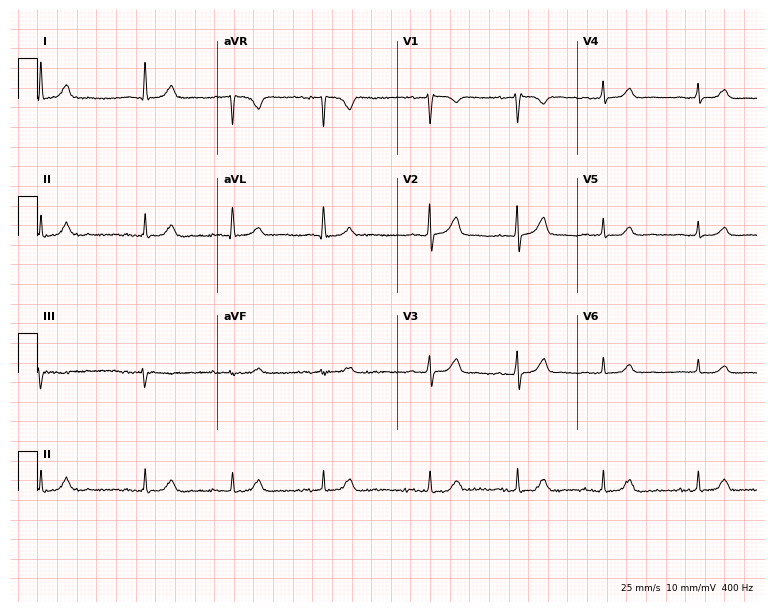
12-lead ECG (7.3-second recording at 400 Hz) from a 79-year-old woman. Screened for six findings — first-degree AV block, right bundle branch block, left bundle branch block, sinus bradycardia, atrial fibrillation, sinus tachycardia — none is recorded.